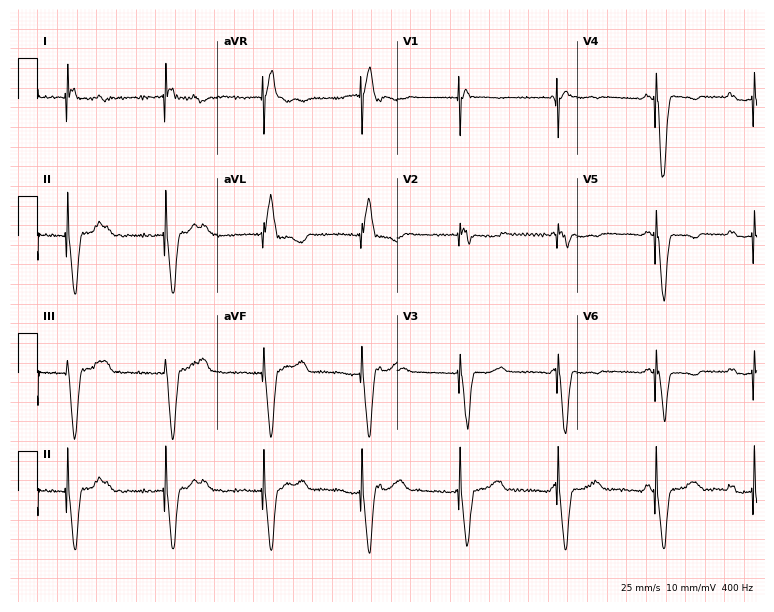
ECG — a 54-year-old male patient. Screened for six findings — first-degree AV block, right bundle branch block, left bundle branch block, sinus bradycardia, atrial fibrillation, sinus tachycardia — none is recorded. Findings outside these six are not listed.